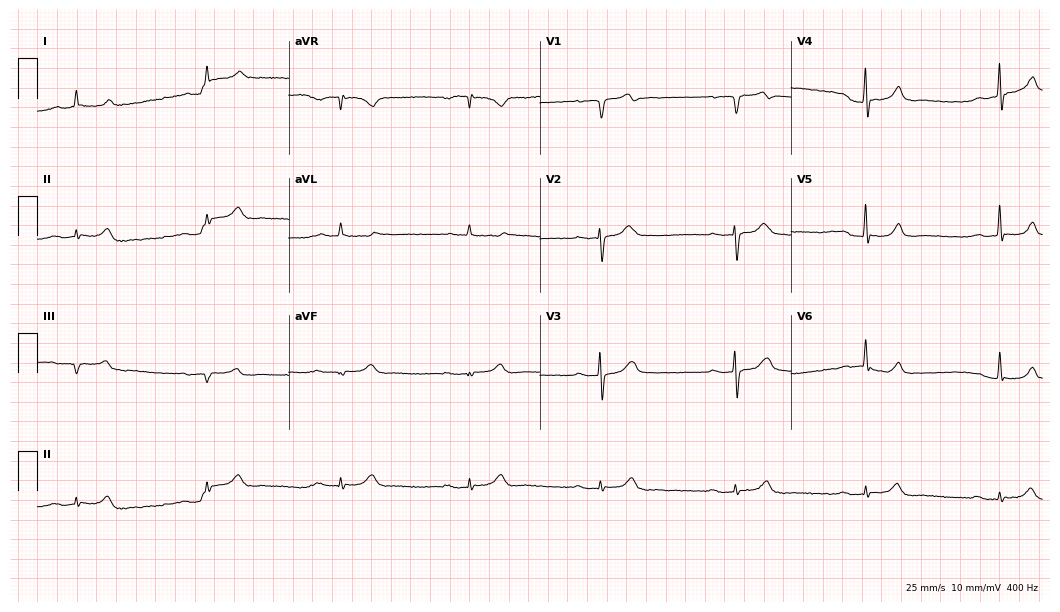
12-lead ECG from a male, 78 years old. Screened for six findings — first-degree AV block, right bundle branch block, left bundle branch block, sinus bradycardia, atrial fibrillation, sinus tachycardia — none is recorded. Other findings, if any, are not listed.